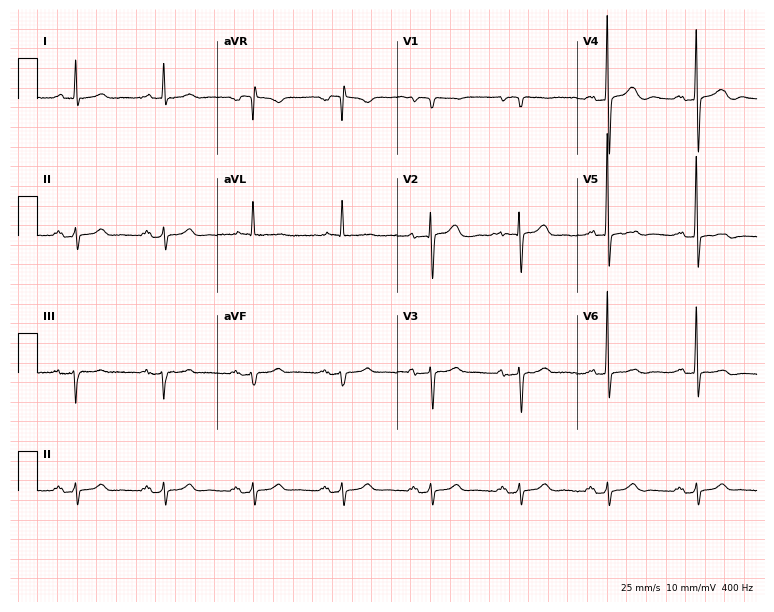
12-lead ECG from a male, 84 years old (7.3-second recording at 400 Hz). No first-degree AV block, right bundle branch block (RBBB), left bundle branch block (LBBB), sinus bradycardia, atrial fibrillation (AF) or sinus tachycardia recorded for this tracing.